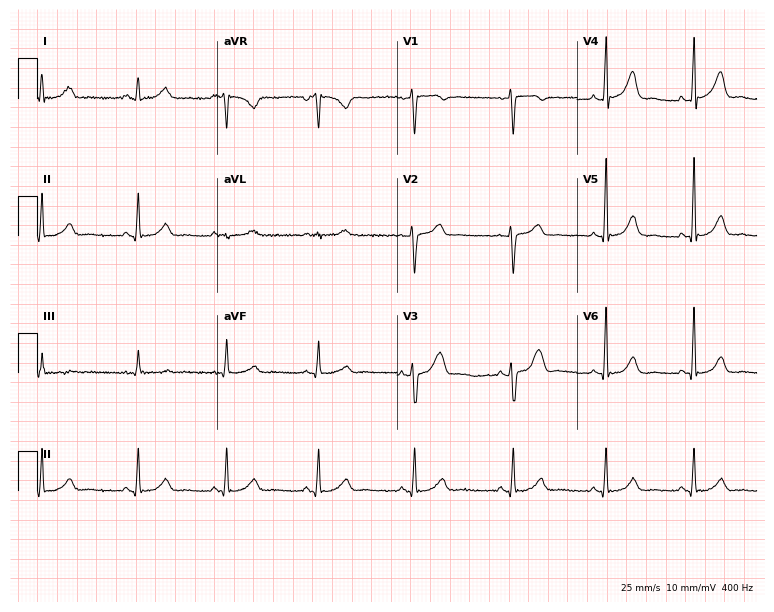
12-lead ECG from a 43-year-old woman. Labelled as a normal ECG.